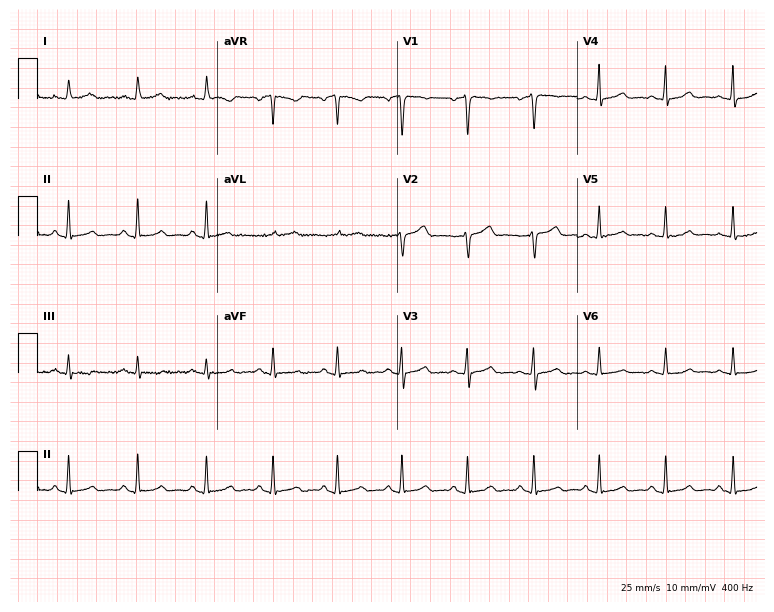
12-lead ECG from a 32-year-old woman (7.3-second recording at 400 Hz). No first-degree AV block, right bundle branch block (RBBB), left bundle branch block (LBBB), sinus bradycardia, atrial fibrillation (AF) or sinus tachycardia recorded for this tracing.